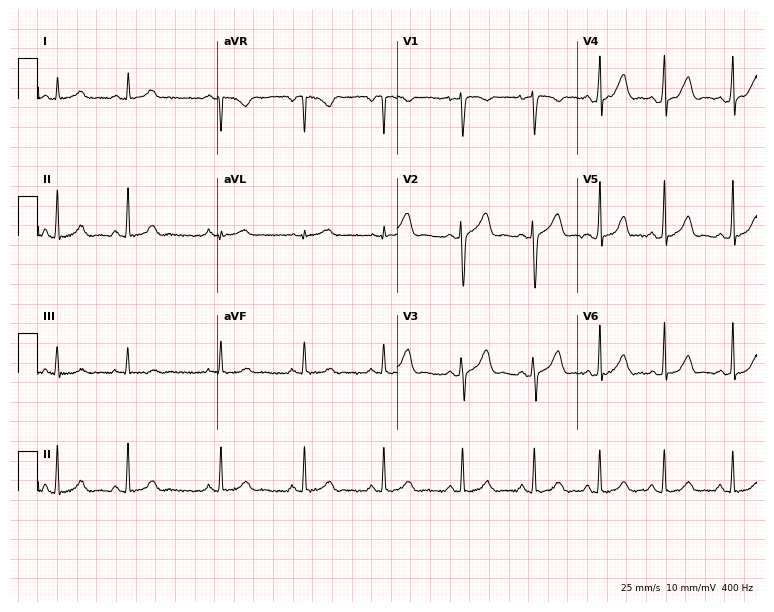
12-lead ECG from a female, 23 years old. Labelled as a normal ECG.